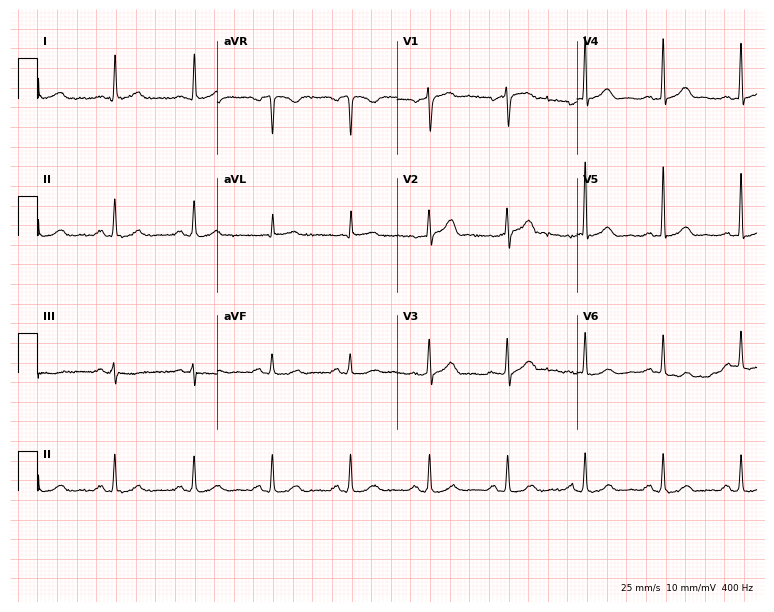
12-lead ECG from a 49-year-old man. Recorded interpretation: within normal limits.